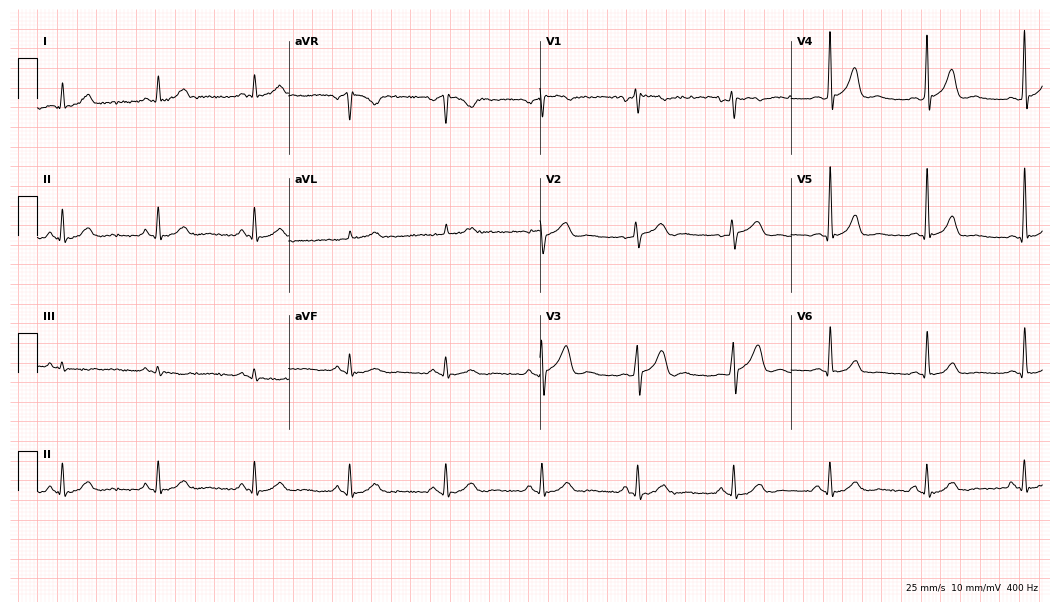
Electrocardiogram, a man, 57 years old. Overall reading on record: normal ECG.